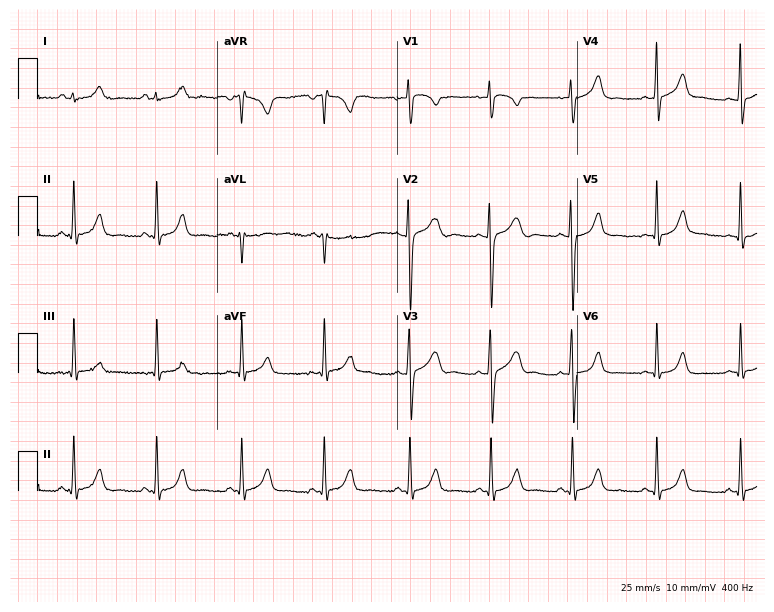
Electrocardiogram (7.3-second recording at 400 Hz), an 18-year-old woman. Of the six screened findings (first-degree AV block, right bundle branch block, left bundle branch block, sinus bradycardia, atrial fibrillation, sinus tachycardia), none is recorded.